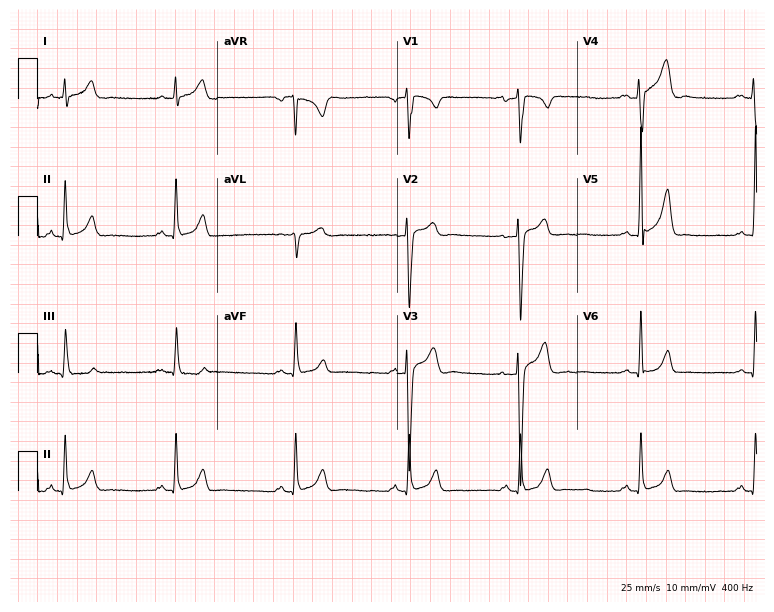
ECG (7.3-second recording at 400 Hz) — a 24-year-old male. Labelled as a normal ECG.